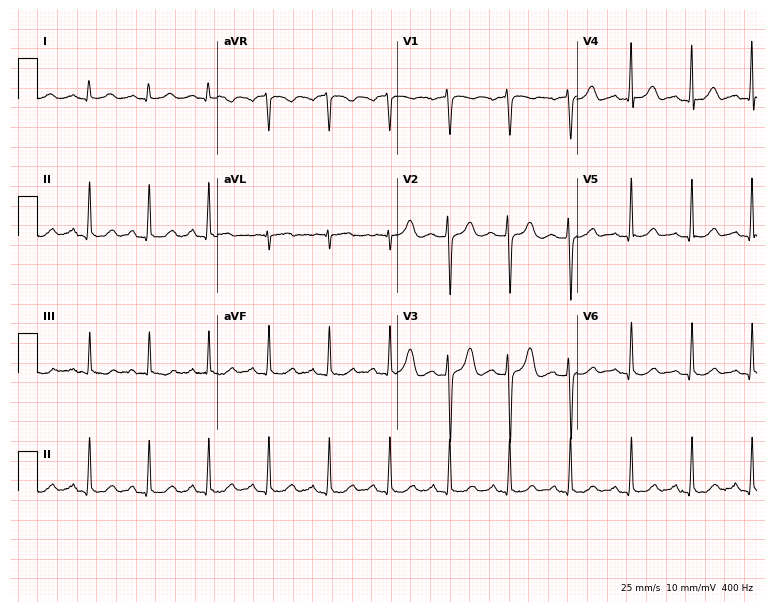
12-lead ECG from a female, 25 years old (7.3-second recording at 400 Hz). No first-degree AV block, right bundle branch block, left bundle branch block, sinus bradycardia, atrial fibrillation or sinus tachycardia recorded for this tracing.